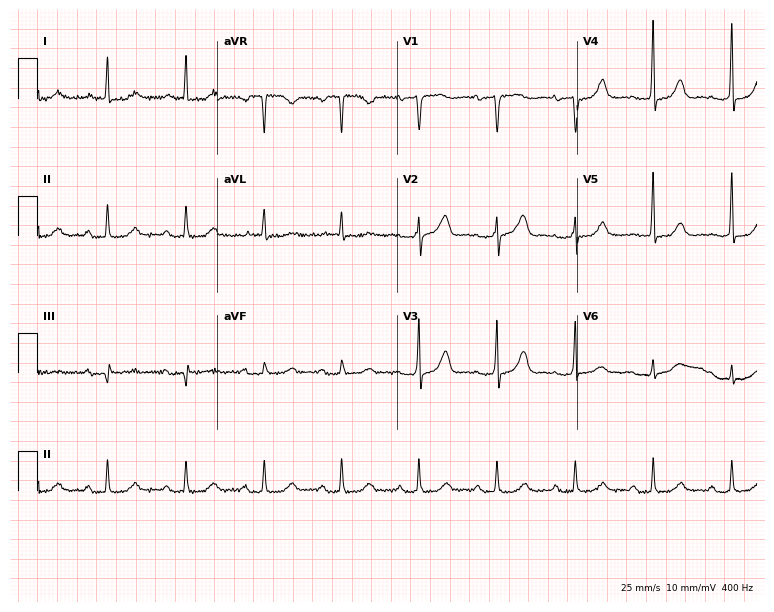
12-lead ECG from a 76-year-old female patient. Shows first-degree AV block.